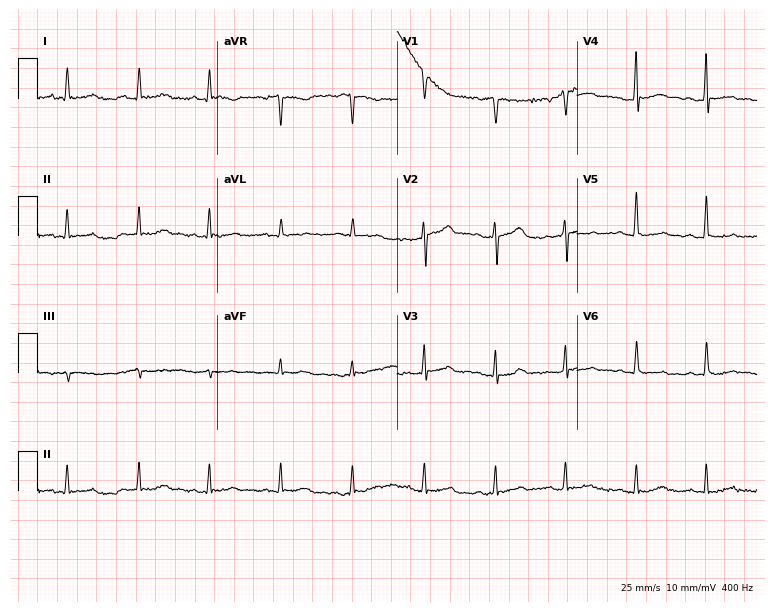
12-lead ECG (7.3-second recording at 400 Hz) from a 61-year-old man. Screened for six findings — first-degree AV block, right bundle branch block, left bundle branch block, sinus bradycardia, atrial fibrillation, sinus tachycardia — none is recorded. Other findings, if any, are not listed.